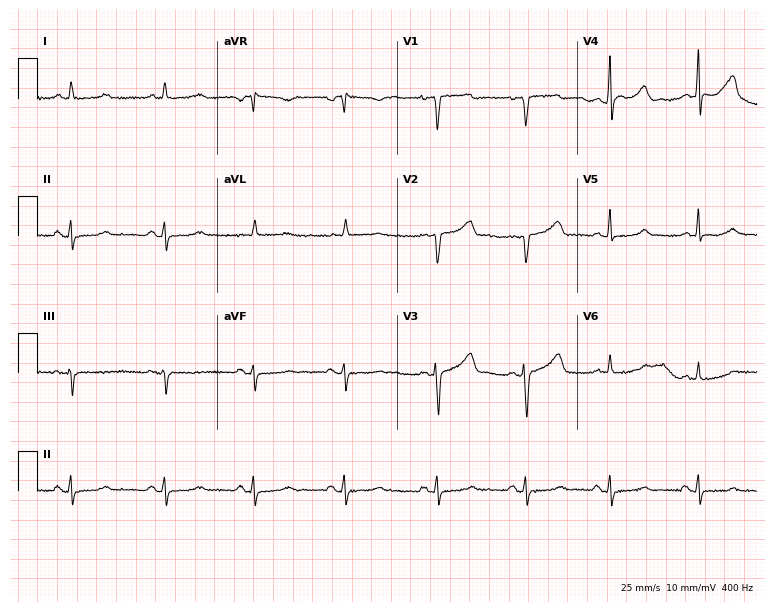
12-lead ECG (7.3-second recording at 400 Hz) from a 47-year-old female. Screened for six findings — first-degree AV block, right bundle branch block, left bundle branch block, sinus bradycardia, atrial fibrillation, sinus tachycardia — none is recorded.